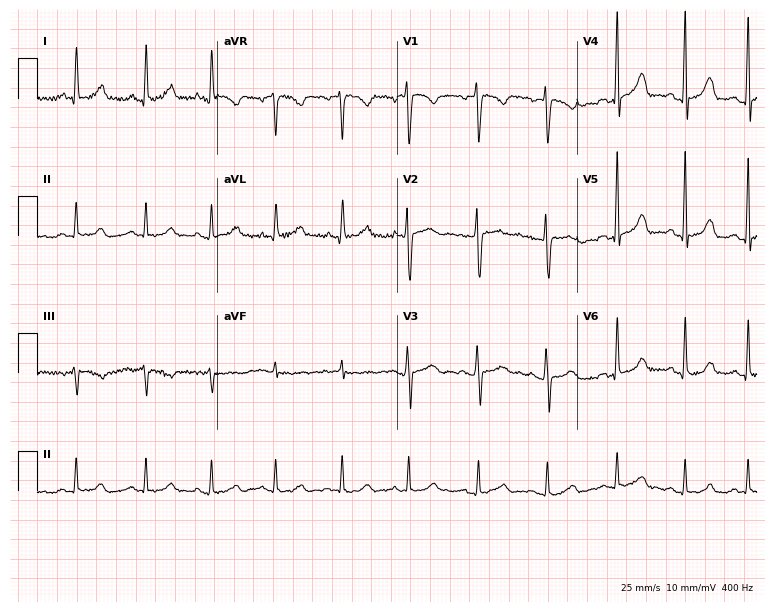
ECG — a female, 46 years old. Labelled as a normal ECG.